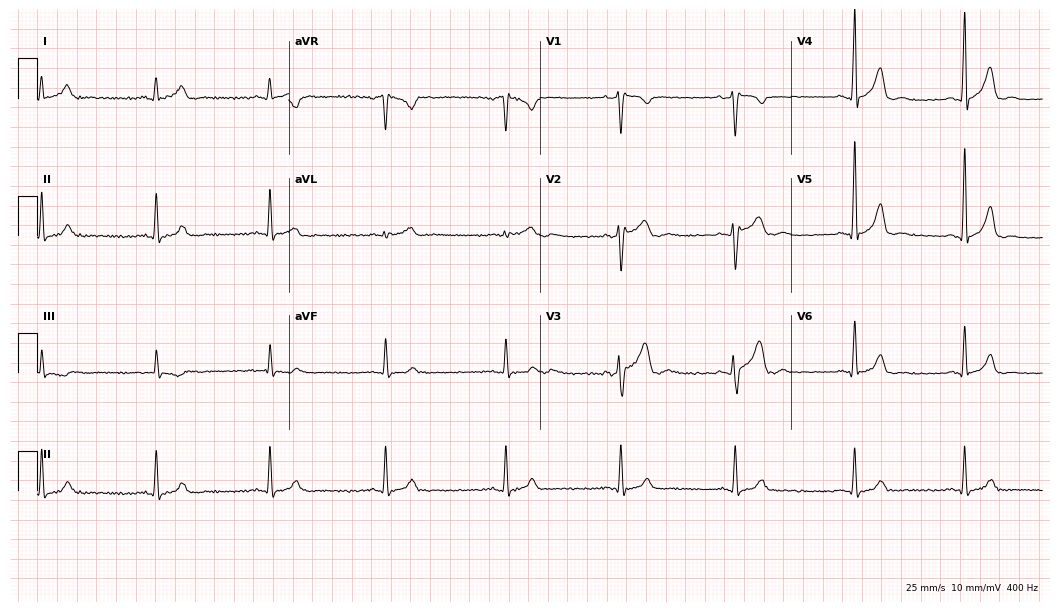
Electrocardiogram (10.2-second recording at 400 Hz), a 35-year-old man. Of the six screened findings (first-degree AV block, right bundle branch block, left bundle branch block, sinus bradycardia, atrial fibrillation, sinus tachycardia), none is recorded. Other findings, if any, are not listed.